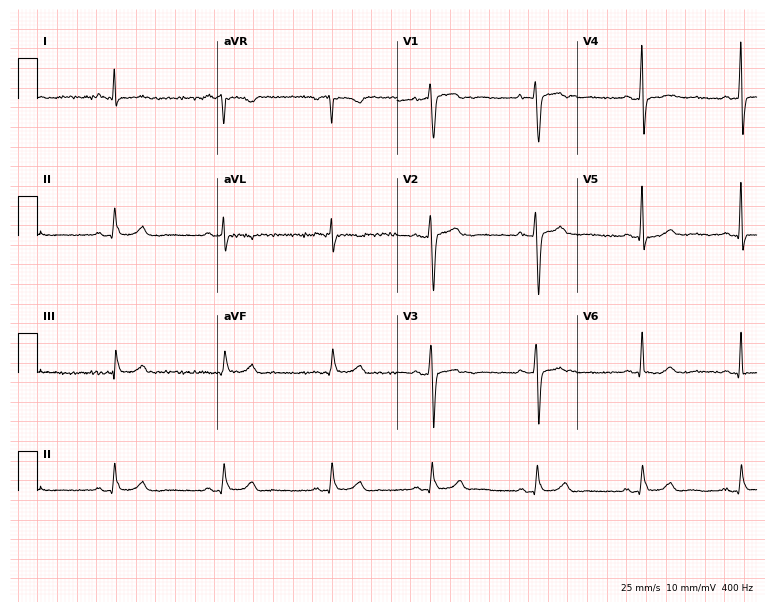
12-lead ECG from a female, 41 years old. Recorded interpretation: within normal limits.